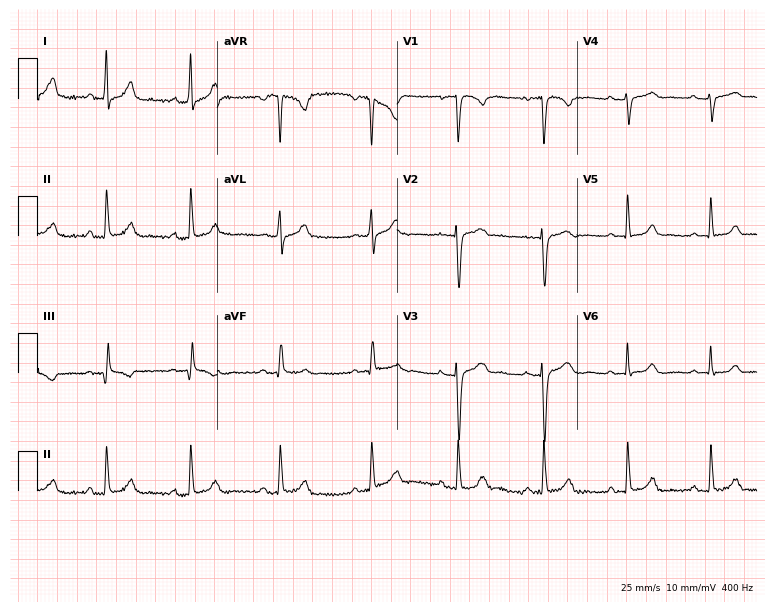
Standard 12-lead ECG recorded from a female, 25 years old (7.3-second recording at 400 Hz). Read as a normal ECG.